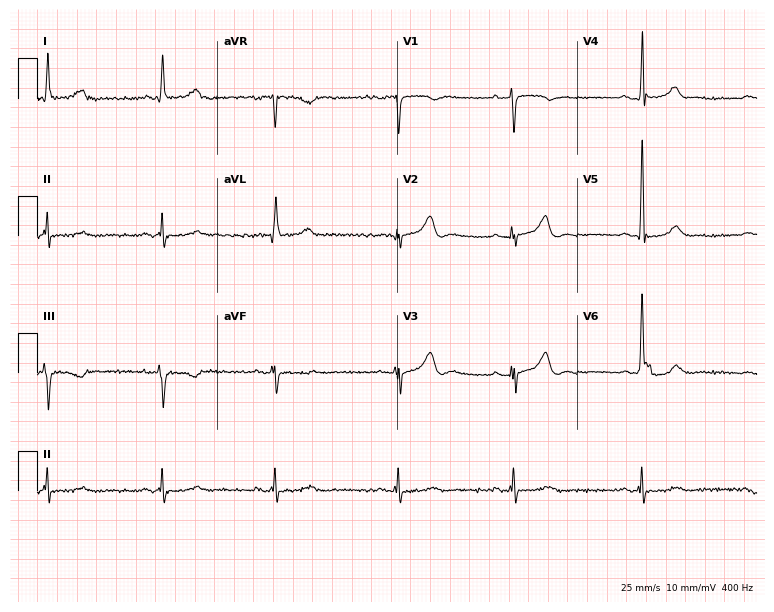
Electrocardiogram, a 70-year-old male patient. Of the six screened findings (first-degree AV block, right bundle branch block, left bundle branch block, sinus bradycardia, atrial fibrillation, sinus tachycardia), none is recorded.